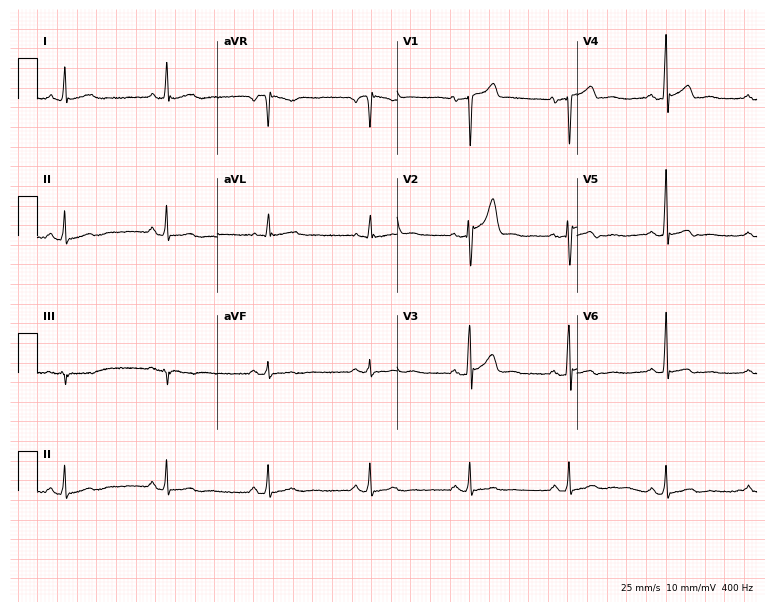
12-lead ECG from a man, 49 years old (7.3-second recording at 400 Hz). No first-degree AV block, right bundle branch block, left bundle branch block, sinus bradycardia, atrial fibrillation or sinus tachycardia recorded for this tracing. Only these six findings were labelled.